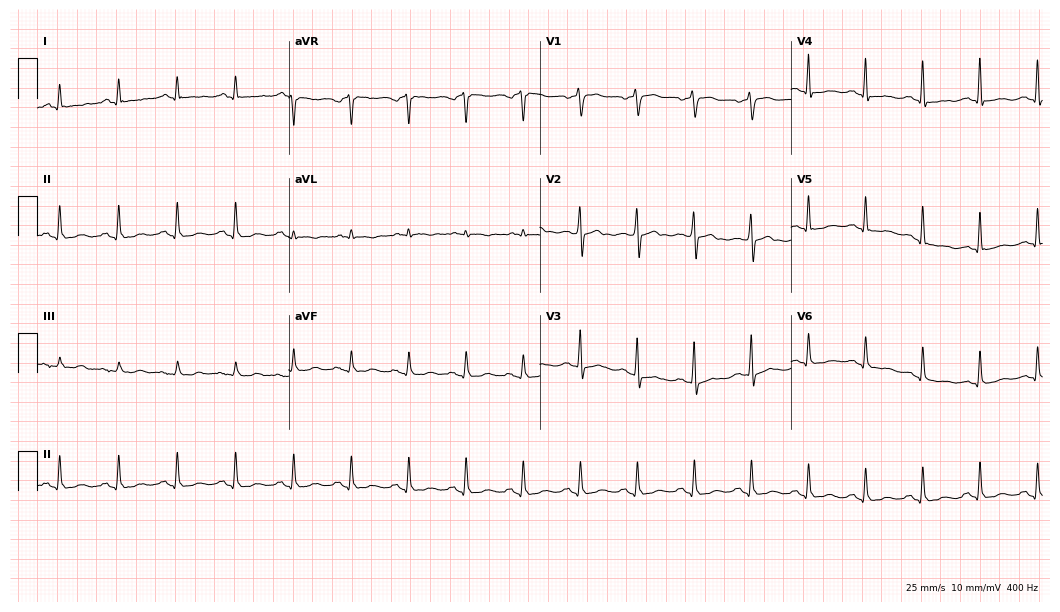
Resting 12-lead electrocardiogram. Patient: a 67-year-old female. Read as a normal ECG.